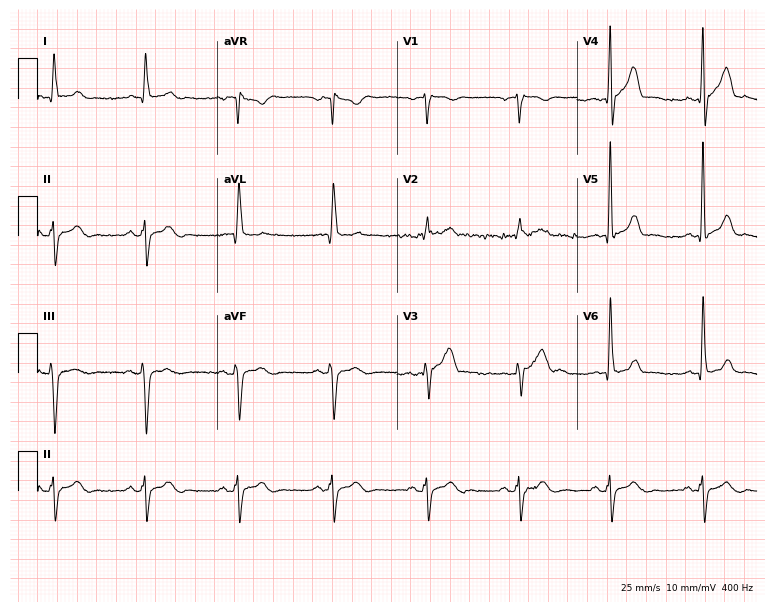
Electrocardiogram (7.3-second recording at 400 Hz), a man, 61 years old. Of the six screened findings (first-degree AV block, right bundle branch block, left bundle branch block, sinus bradycardia, atrial fibrillation, sinus tachycardia), none is recorded. Findings outside these six are not listed.